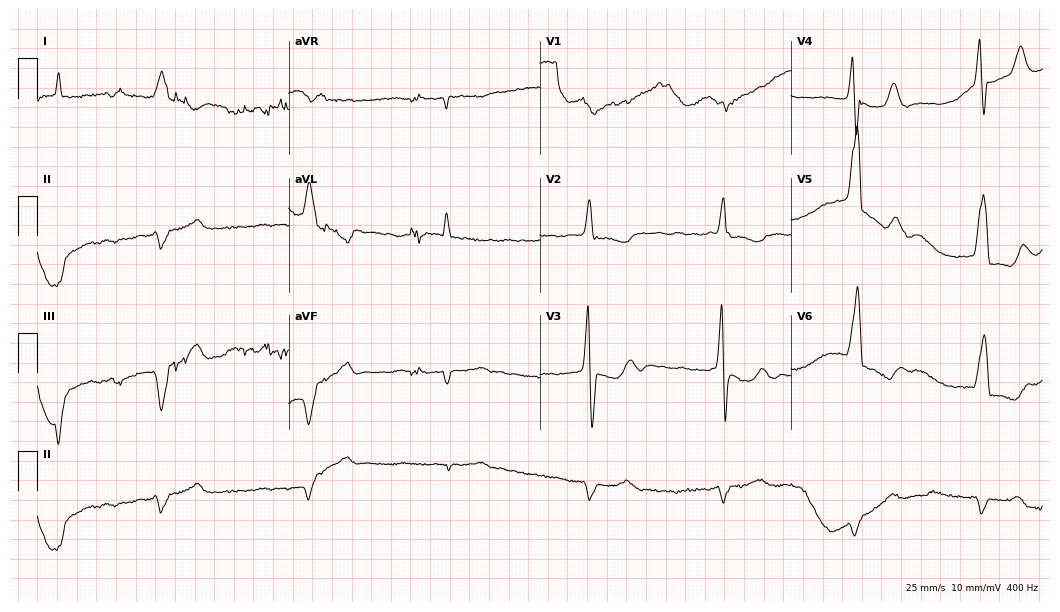
Resting 12-lead electrocardiogram. Patient: a male, 77 years old. The tracing shows atrial fibrillation.